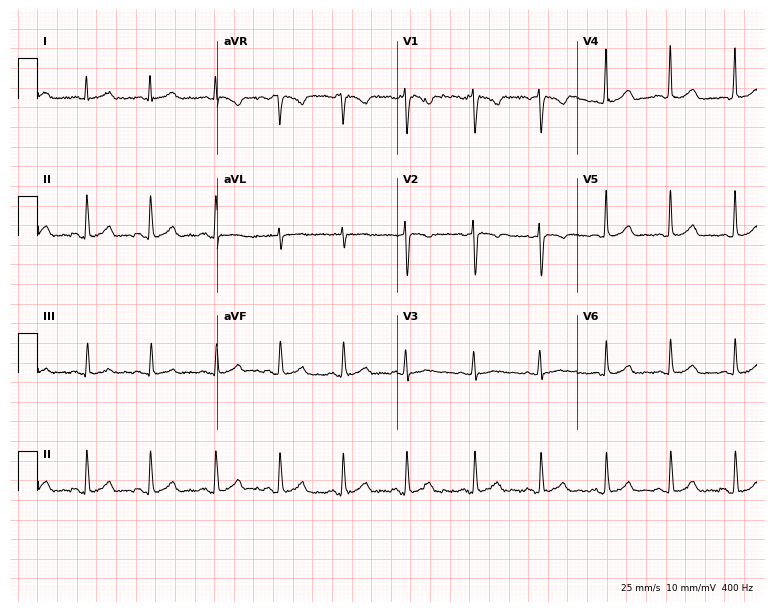
12-lead ECG from a woman, 31 years old (7.3-second recording at 400 Hz). Recorded interpretation: within normal limits.